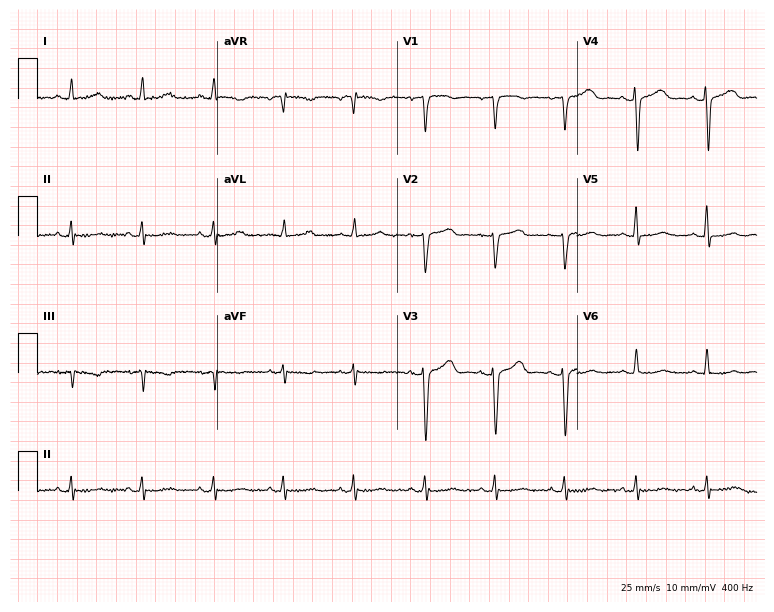
Electrocardiogram, a 55-year-old female patient. Of the six screened findings (first-degree AV block, right bundle branch block (RBBB), left bundle branch block (LBBB), sinus bradycardia, atrial fibrillation (AF), sinus tachycardia), none is recorded. Other findings, if any, are not listed.